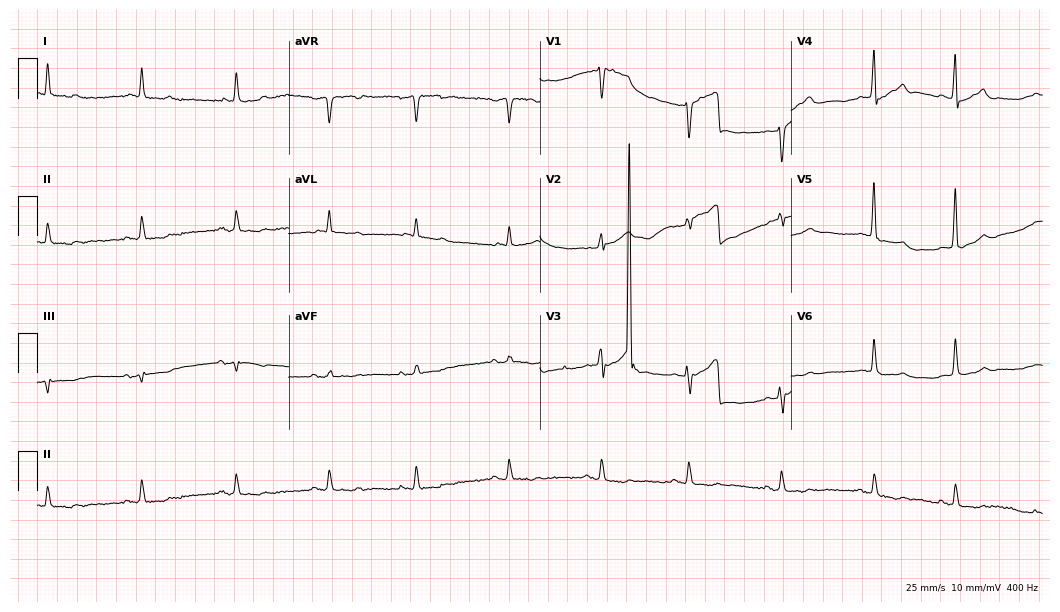
12-lead ECG (10.2-second recording at 400 Hz) from a male patient, 85 years old. Screened for six findings — first-degree AV block, right bundle branch block, left bundle branch block, sinus bradycardia, atrial fibrillation, sinus tachycardia — none is recorded.